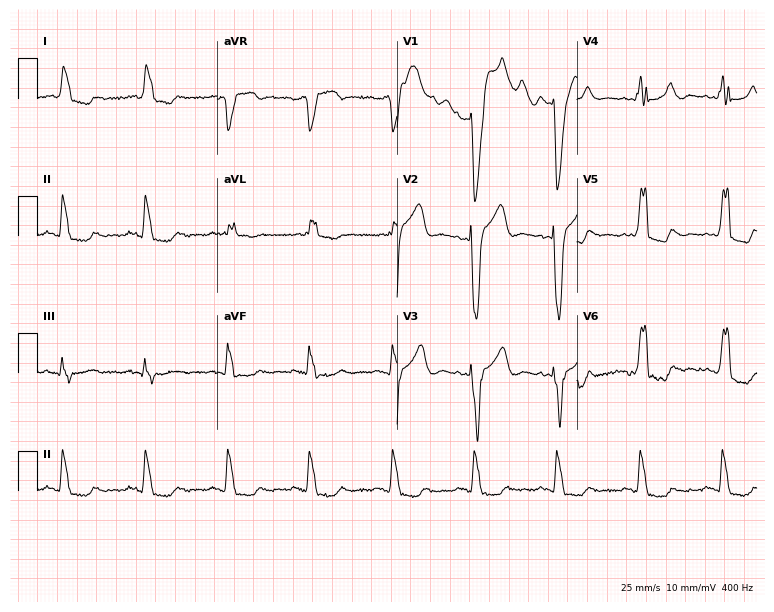
12-lead ECG from a 75-year-old man (7.3-second recording at 400 Hz). Shows left bundle branch block.